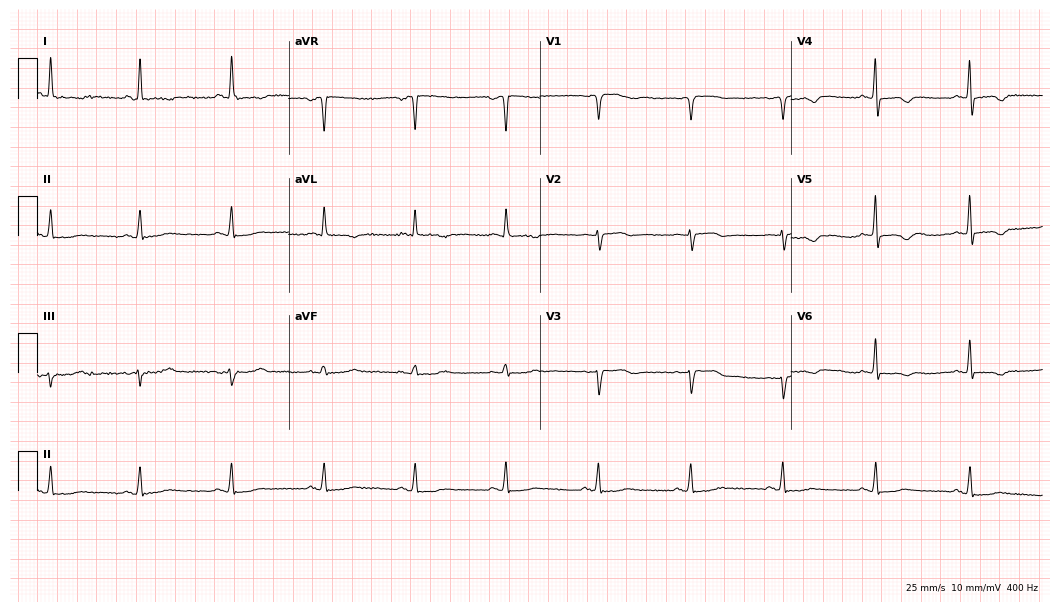
ECG — a 68-year-old female patient. Screened for six findings — first-degree AV block, right bundle branch block (RBBB), left bundle branch block (LBBB), sinus bradycardia, atrial fibrillation (AF), sinus tachycardia — none is recorded.